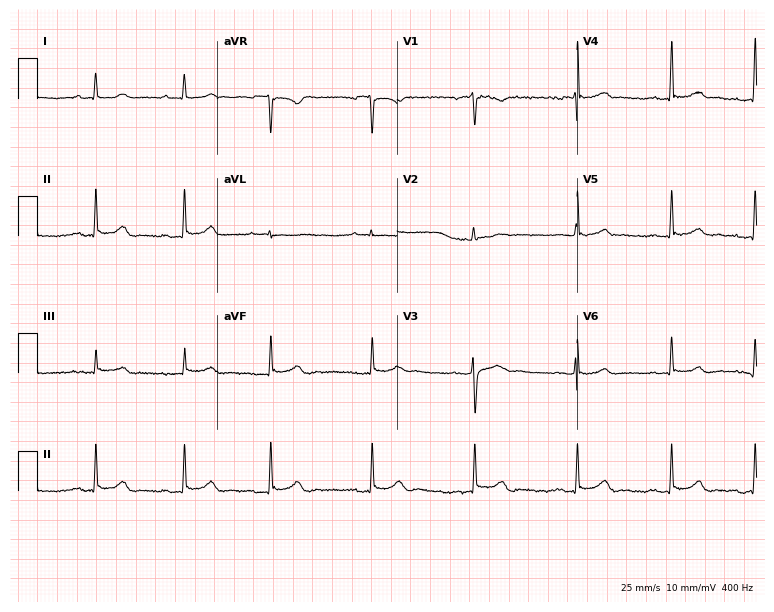
ECG — a female patient, 21 years old. Labelled as a normal ECG.